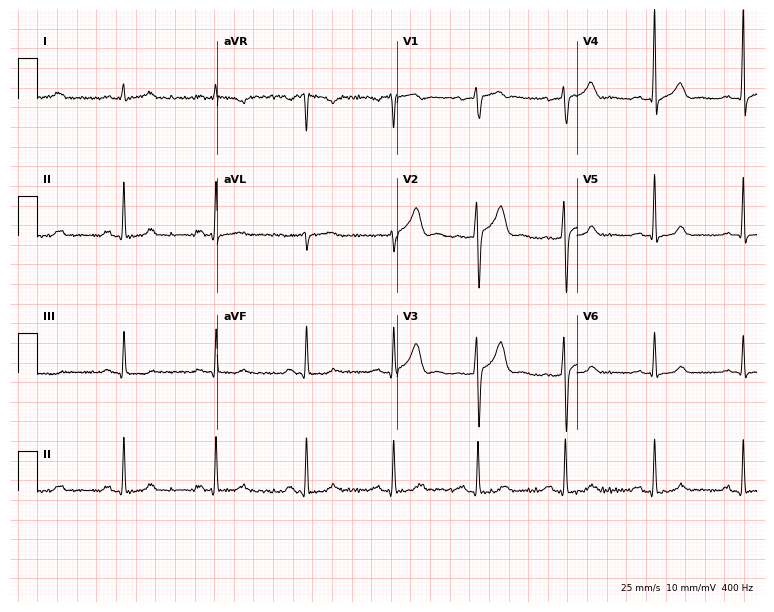
Standard 12-lead ECG recorded from a male patient, 36 years old (7.3-second recording at 400 Hz). Read as a normal ECG.